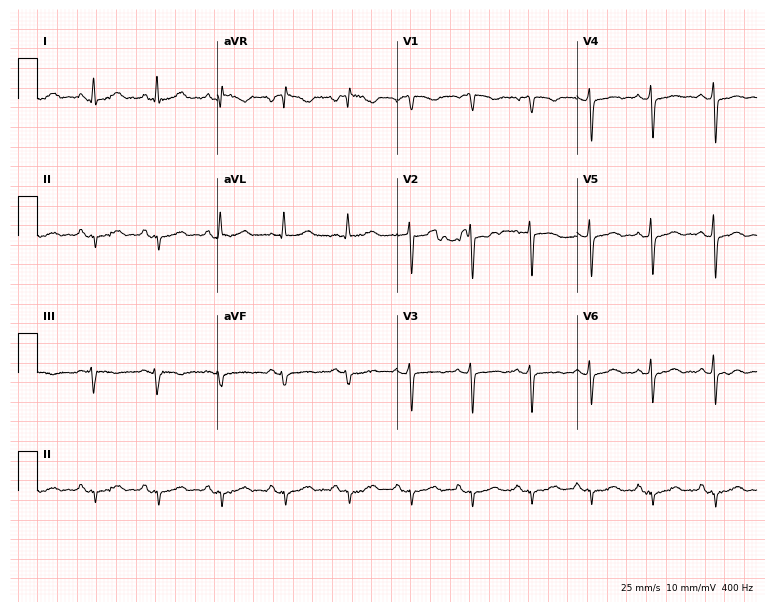
12-lead ECG (7.3-second recording at 400 Hz) from a female patient, 56 years old. Screened for six findings — first-degree AV block, right bundle branch block, left bundle branch block, sinus bradycardia, atrial fibrillation, sinus tachycardia — none is recorded.